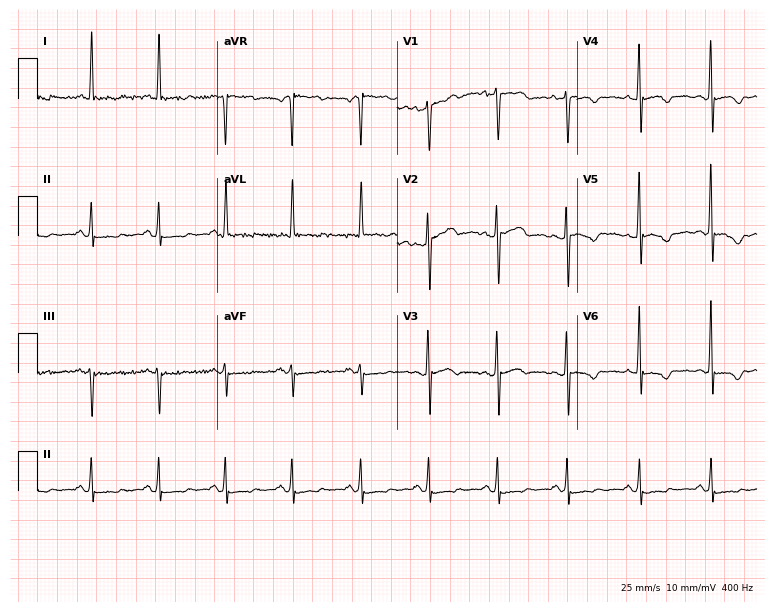
ECG — a 50-year-old woman. Screened for six findings — first-degree AV block, right bundle branch block, left bundle branch block, sinus bradycardia, atrial fibrillation, sinus tachycardia — none is recorded.